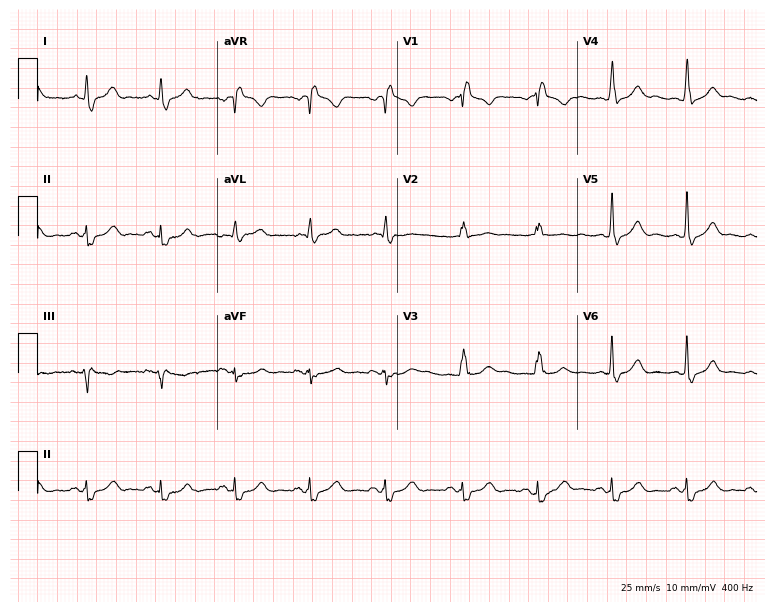
12-lead ECG from a male, 61 years old. Shows right bundle branch block.